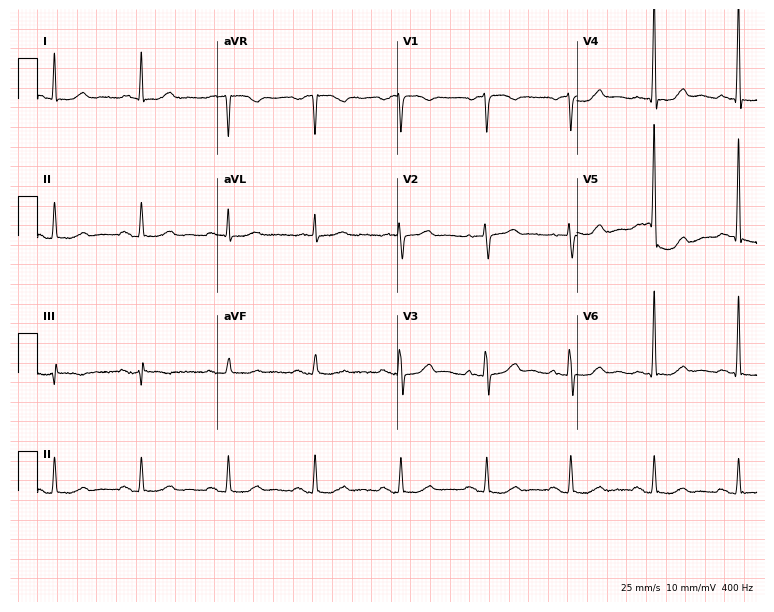
Electrocardiogram, a female, 76 years old. Of the six screened findings (first-degree AV block, right bundle branch block, left bundle branch block, sinus bradycardia, atrial fibrillation, sinus tachycardia), none is recorded. Findings outside these six are not listed.